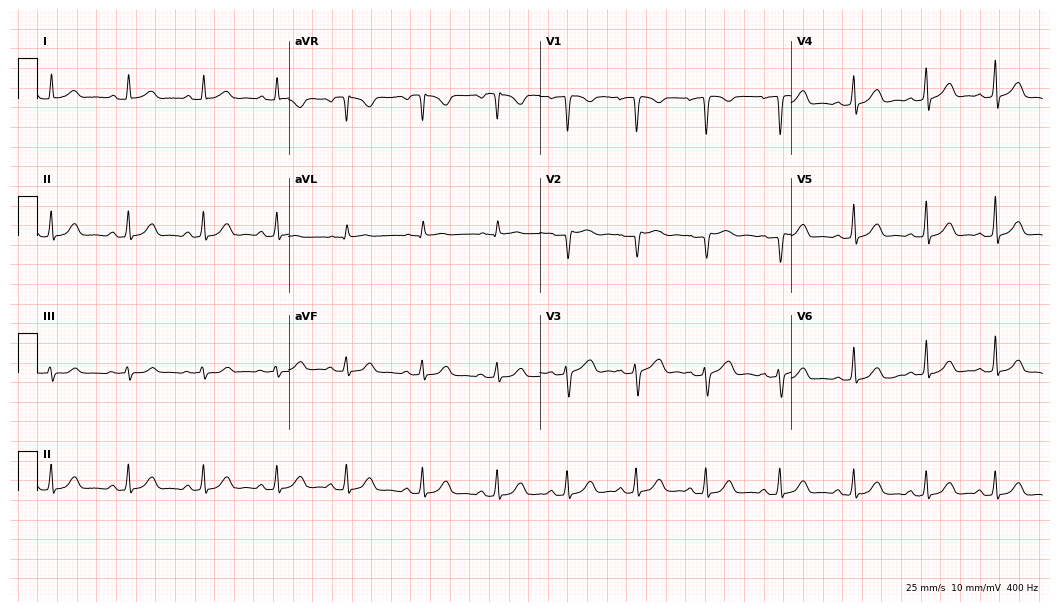
ECG (10.2-second recording at 400 Hz) — a woman, 40 years old. Labelled as a normal ECG.